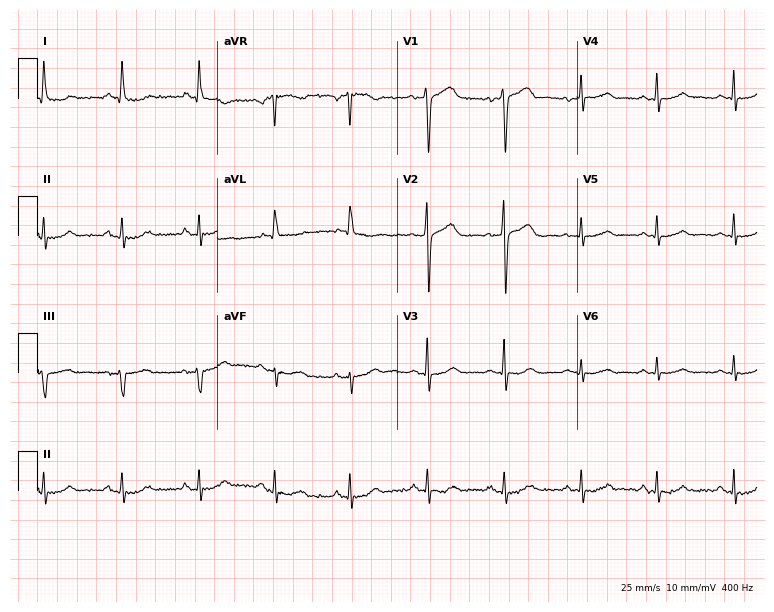
ECG — a 54-year-old female patient. Labelled as a normal ECG.